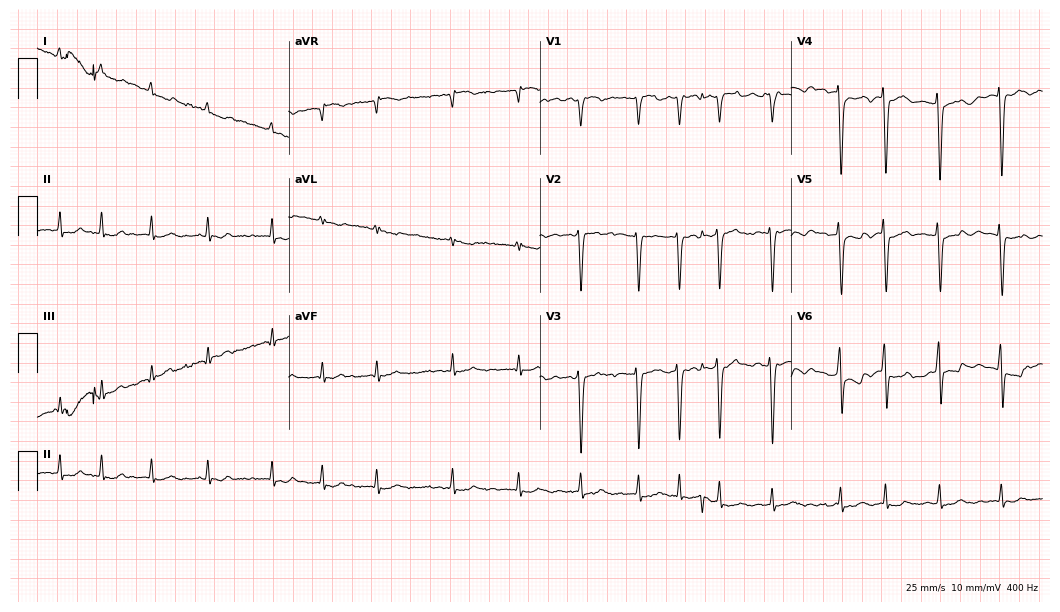
ECG (10.2-second recording at 400 Hz) — a 76-year-old male patient. Findings include atrial fibrillation (AF).